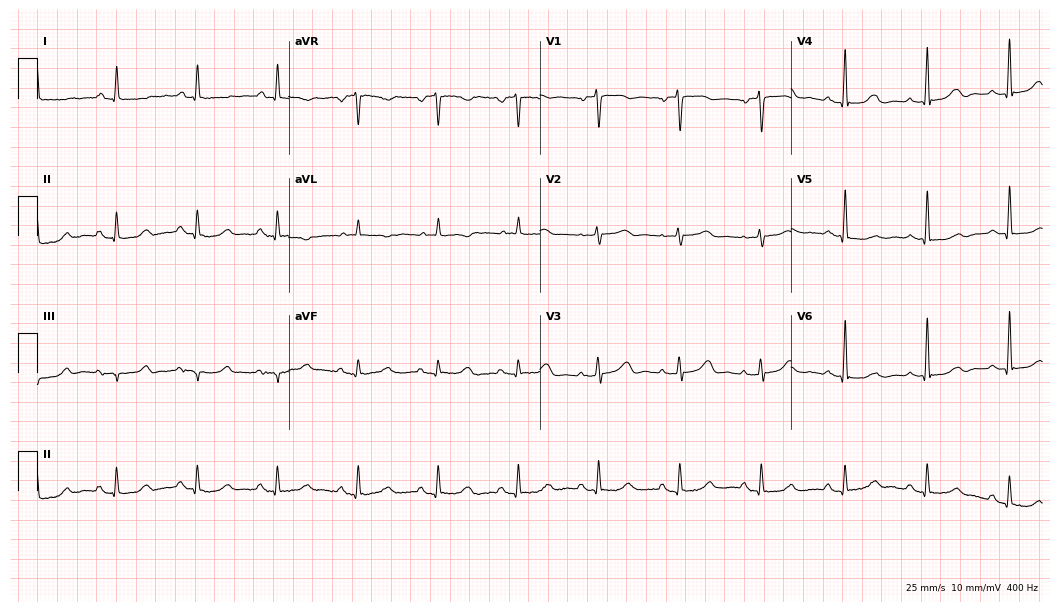
Electrocardiogram, an 81-year-old female patient. Of the six screened findings (first-degree AV block, right bundle branch block, left bundle branch block, sinus bradycardia, atrial fibrillation, sinus tachycardia), none is recorded.